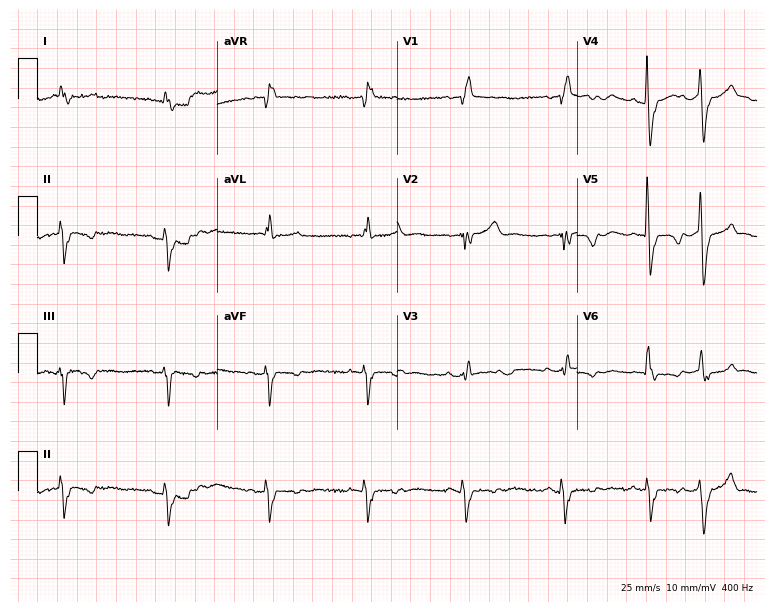
12-lead ECG from a female, 85 years old. No first-degree AV block, right bundle branch block, left bundle branch block, sinus bradycardia, atrial fibrillation or sinus tachycardia recorded for this tracing.